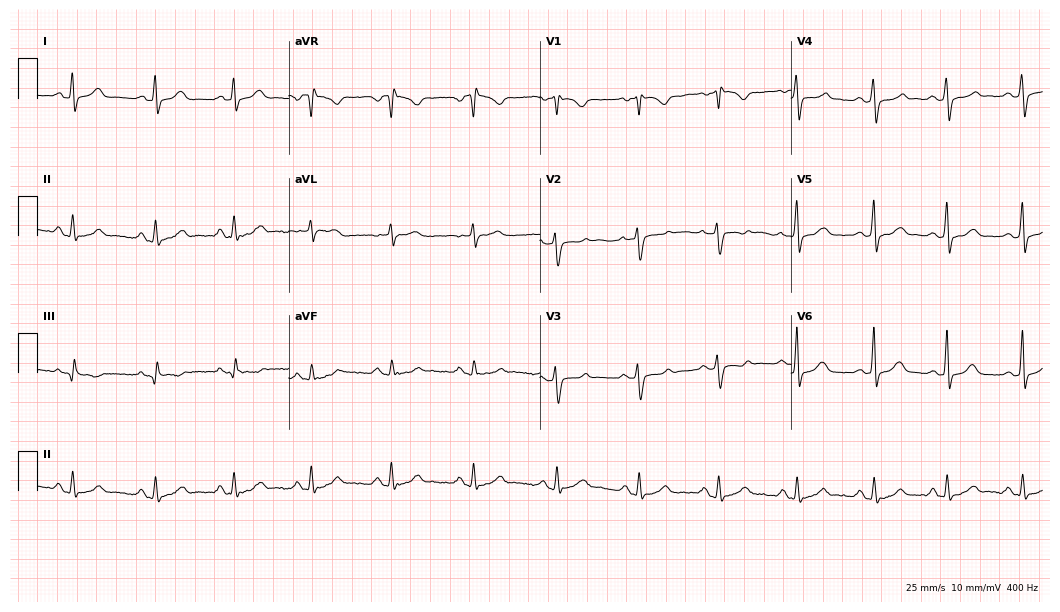
12-lead ECG from a 30-year-old woman (10.2-second recording at 400 Hz). No first-degree AV block, right bundle branch block, left bundle branch block, sinus bradycardia, atrial fibrillation or sinus tachycardia recorded for this tracing.